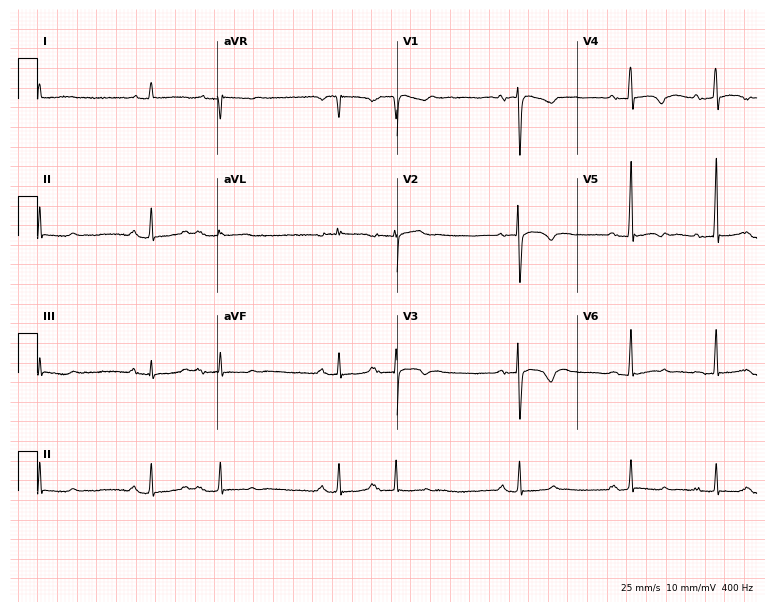
Electrocardiogram (7.3-second recording at 400 Hz), a woman, 85 years old. Of the six screened findings (first-degree AV block, right bundle branch block, left bundle branch block, sinus bradycardia, atrial fibrillation, sinus tachycardia), none is recorded. Findings outside these six are not listed.